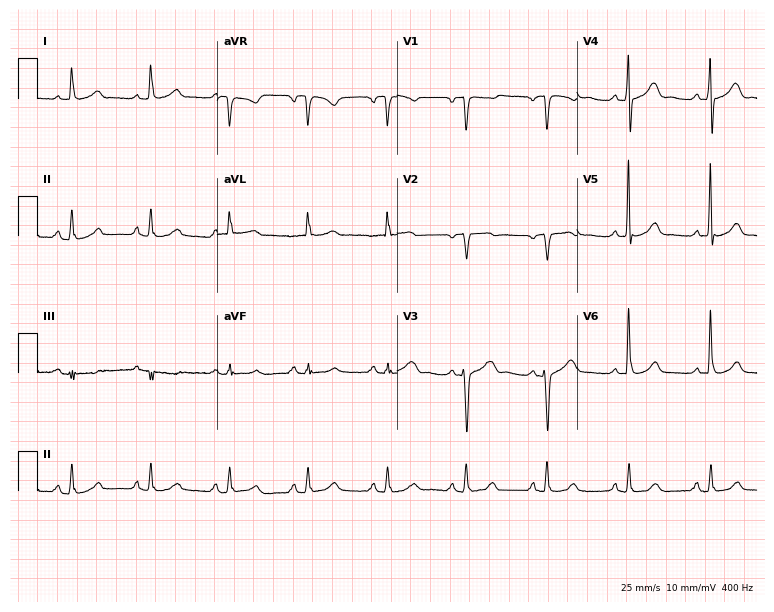
12-lead ECG from a 76-year-old man. Labelled as a normal ECG.